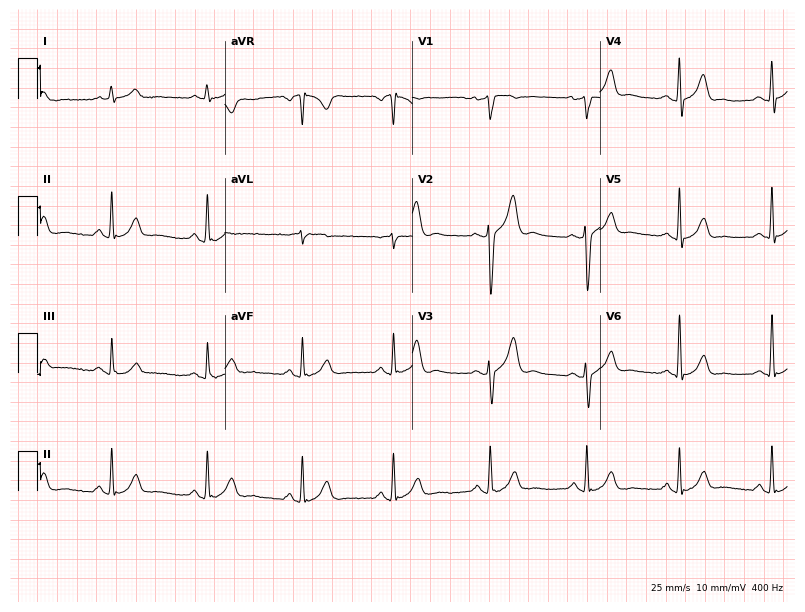
12-lead ECG from a 58-year-old male (7.6-second recording at 400 Hz). Recorded interpretation: within normal limits.